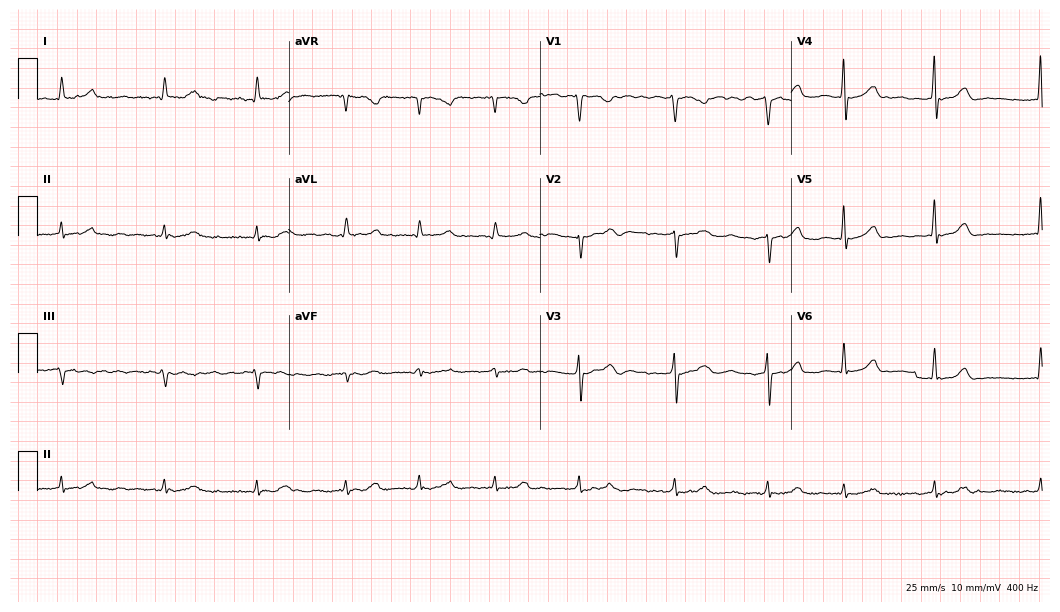
ECG (10.2-second recording at 400 Hz) — a woman, 78 years old. Findings include atrial fibrillation.